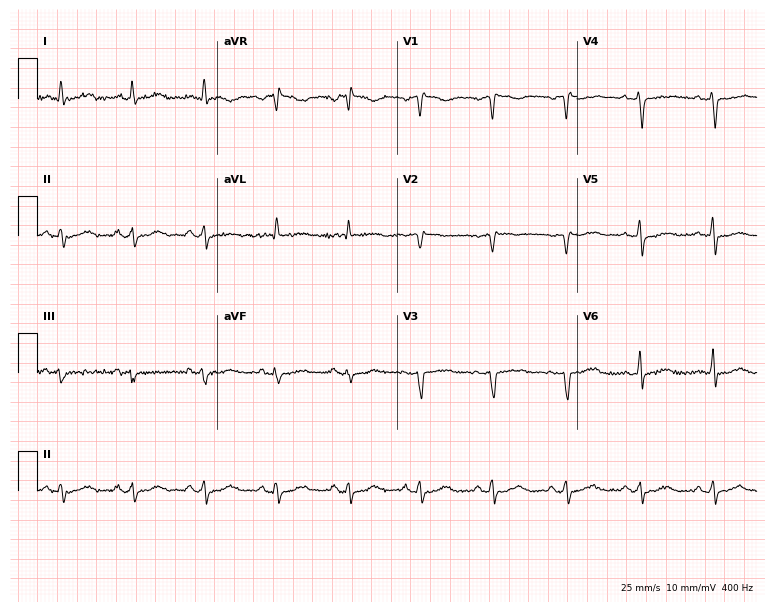
12-lead ECG from a woman, 45 years old. Screened for six findings — first-degree AV block, right bundle branch block, left bundle branch block, sinus bradycardia, atrial fibrillation, sinus tachycardia — none is recorded.